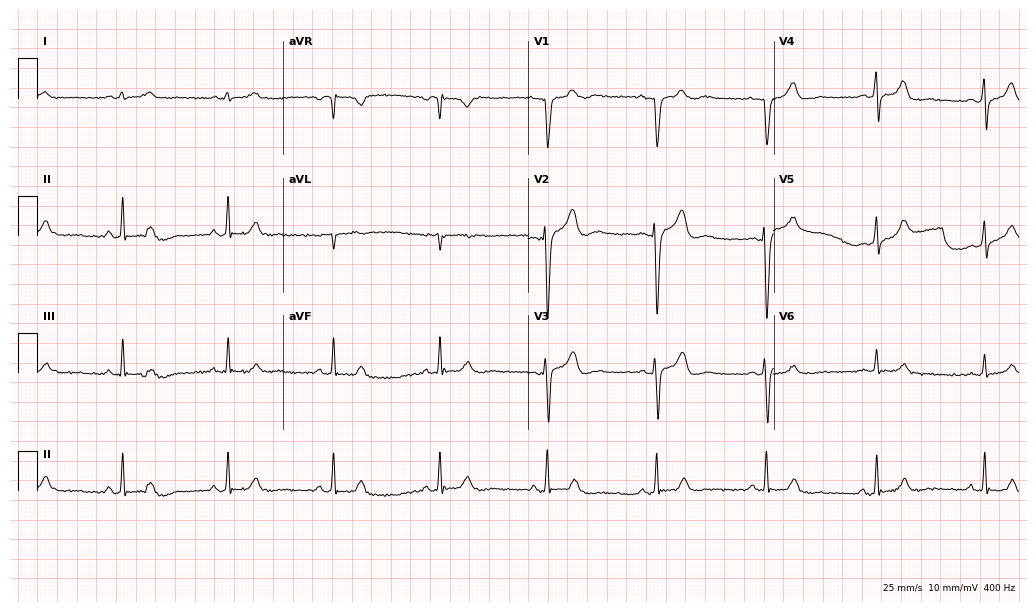
Electrocardiogram, a 59-year-old male patient. Of the six screened findings (first-degree AV block, right bundle branch block, left bundle branch block, sinus bradycardia, atrial fibrillation, sinus tachycardia), none is recorded.